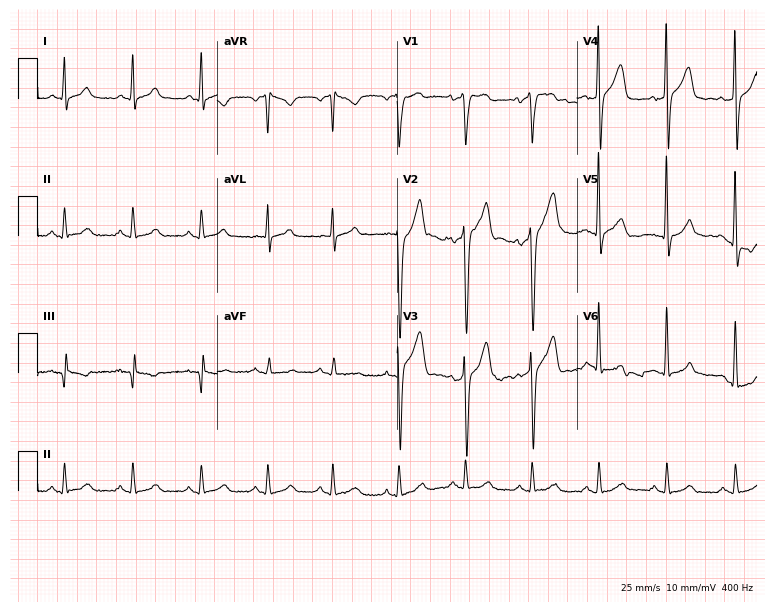
Resting 12-lead electrocardiogram (7.3-second recording at 400 Hz). Patient: a man, 59 years old. Read as a normal ECG.